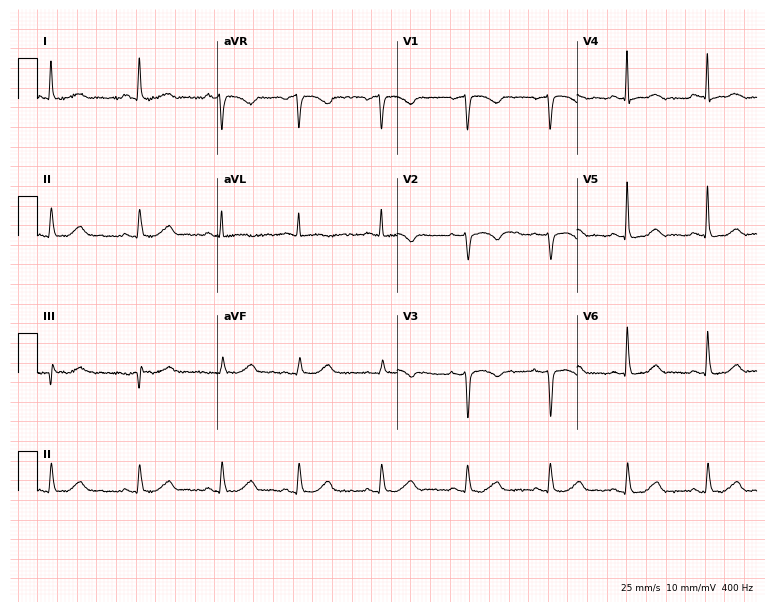
12-lead ECG from a 63-year-old woman. Screened for six findings — first-degree AV block, right bundle branch block, left bundle branch block, sinus bradycardia, atrial fibrillation, sinus tachycardia — none is recorded.